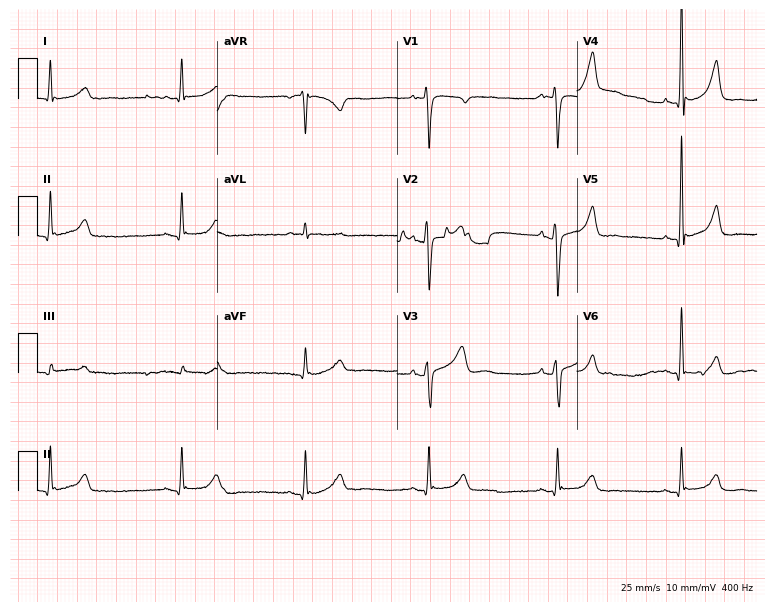
12-lead ECG from a 58-year-old male (7.3-second recording at 400 Hz). Shows sinus bradycardia (a sinus rate of 50 beats per minute or less).